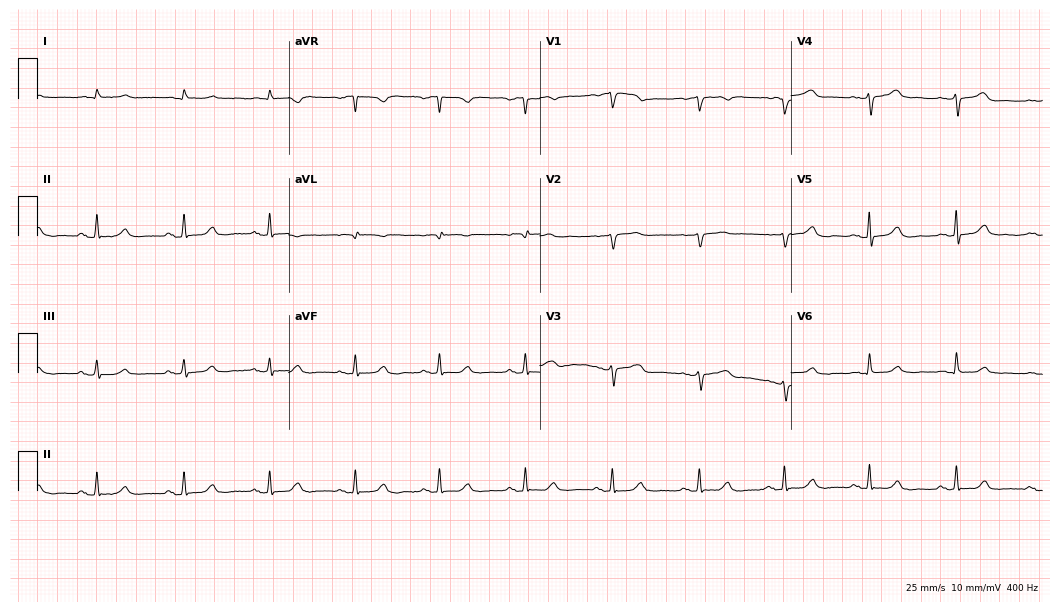
12-lead ECG from a male, 63 years old. Screened for six findings — first-degree AV block, right bundle branch block, left bundle branch block, sinus bradycardia, atrial fibrillation, sinus tachycardia — none is recorded.